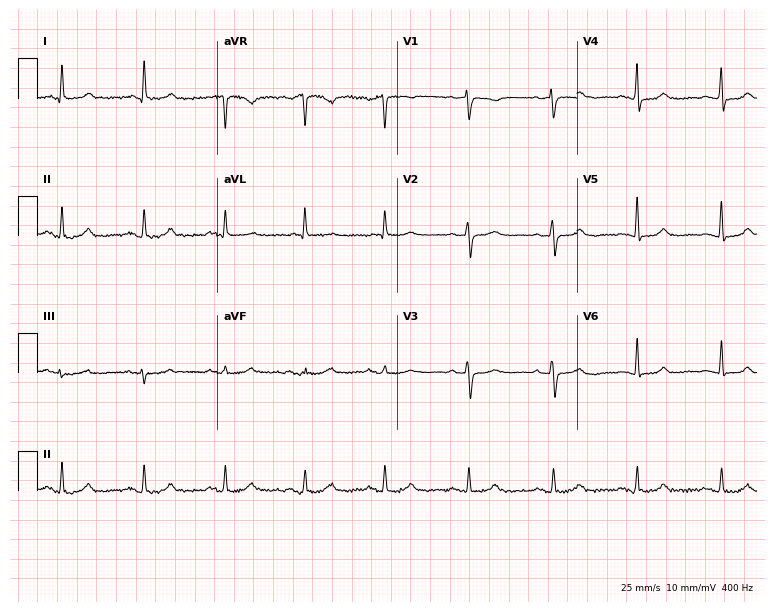
Electrocardiogram (7.3-second recording at 400 Hz), a 79-year-old female patient. Overall reading on record: normal ECG.